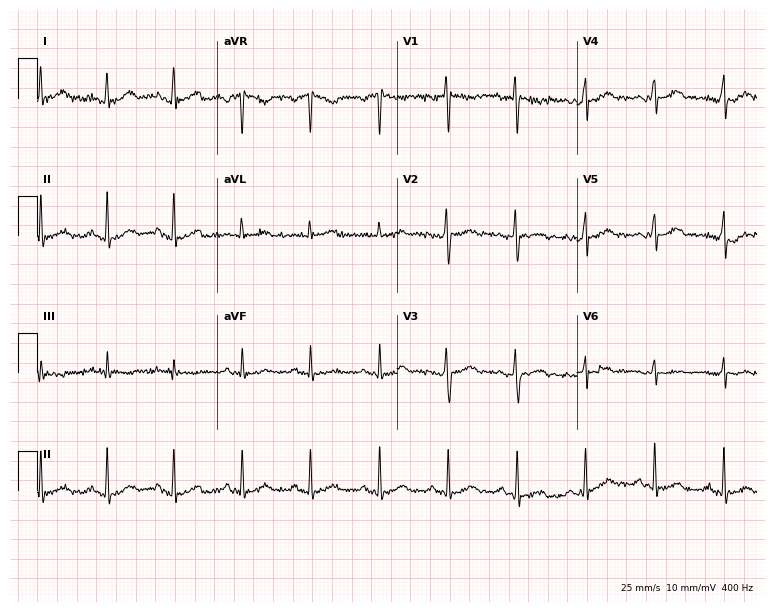
ECG — a 31-year-old woman. Labelled as a normal ECG.